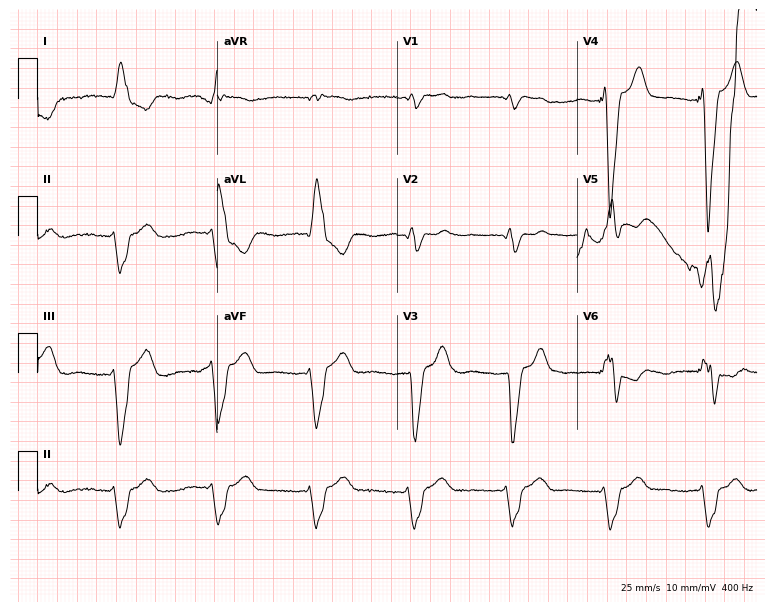
Resting 12-lead electrocardiogram (7.3-second recording at 400 Hz). Patient: an 85-year-old man. None of these six findings is recorded: first-degree AV block, right bundle branch block, left bundle branch block, sinus bradycardia, atrial fibrillation, sinus tachycardia. Other findings, if any, are not listed.